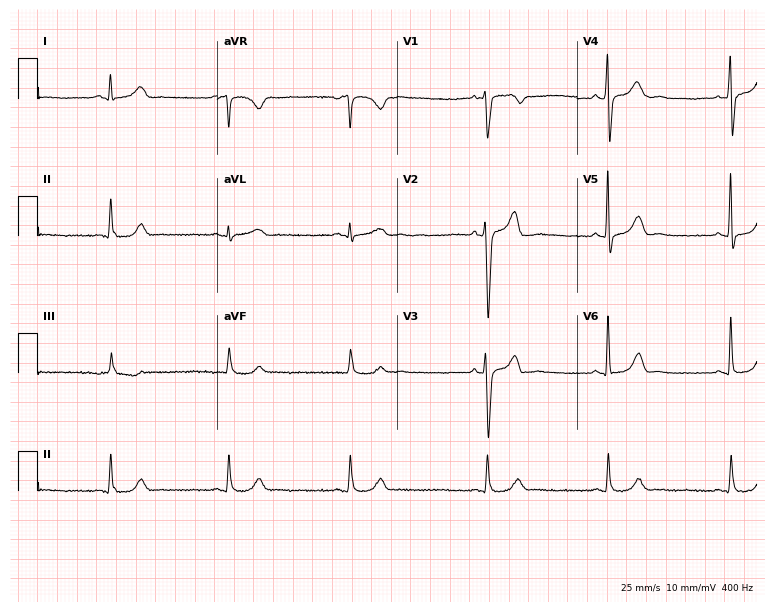
Electrocardiogram (7.3-second recording at 400 Hz), a 46-year-old man. Interpretation includes sinus bradycardia (a sinus rate of 50 beats per minute or less).